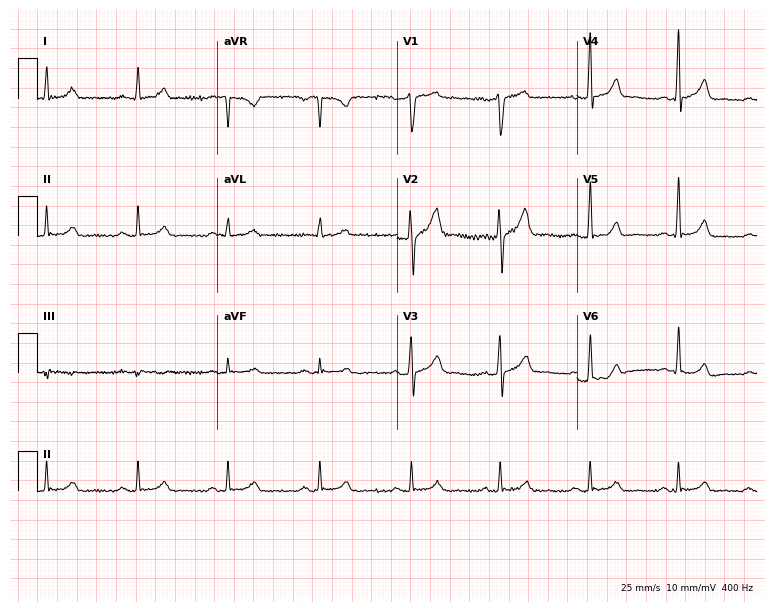
Resting 12-lead electrocardiogram (7.3-second recording at 400 Hz). Patient: a male, 41 years old. None of these six findings is recorded: first-degree AV block, right bundle branch block, left bundle branch block, sinus bradycardia, atrial fibrillation, sinus tachycardia.